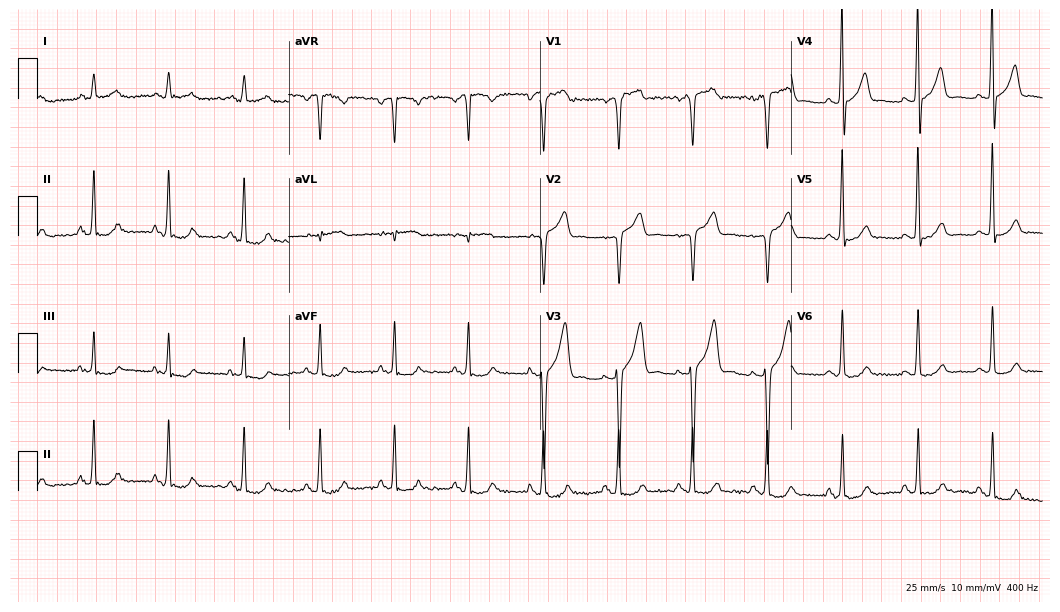
ECG — a 51-year-old male patient. Screened for six findings — first-degree AV block, right bundle branch block, left bundle branch block, sinus bradycardia, atrial fibrillation, sinus tachycardia — none is recorded.